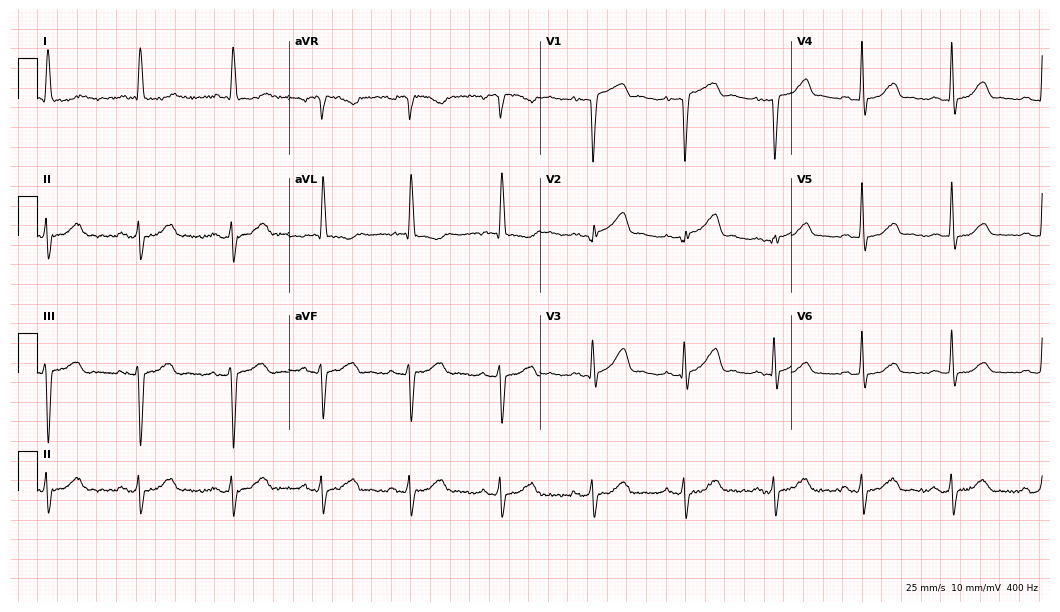
12-lead ECG (10.2-second recording at 400 Hz) from a female patient, 77 years old. Screened for six findings — first-degree AV block, right bundle branch block, left bundle branch block, sinus bradycardia, atrial fibrillation, sinus tachycardia — none is recorded.